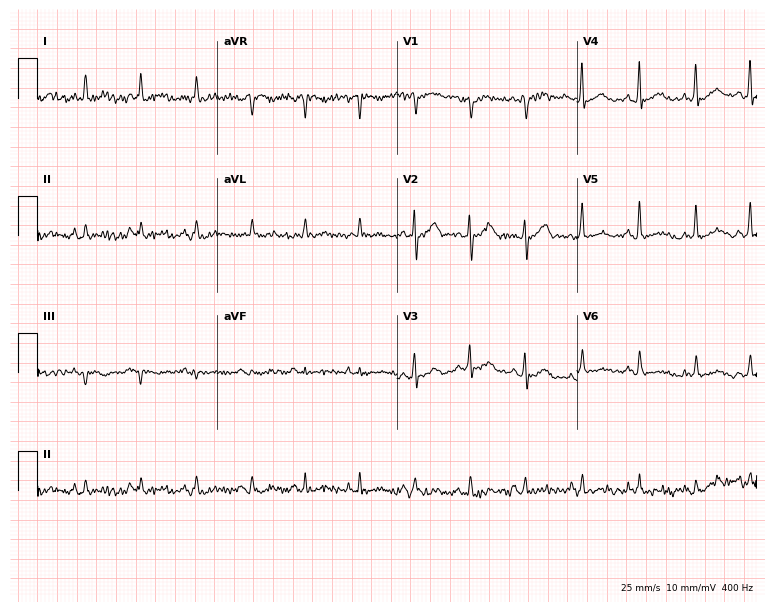
ECG — an 82-year-old male. Findings include sinus tachycardia (a sinus rate of 100 beats per minute or more).